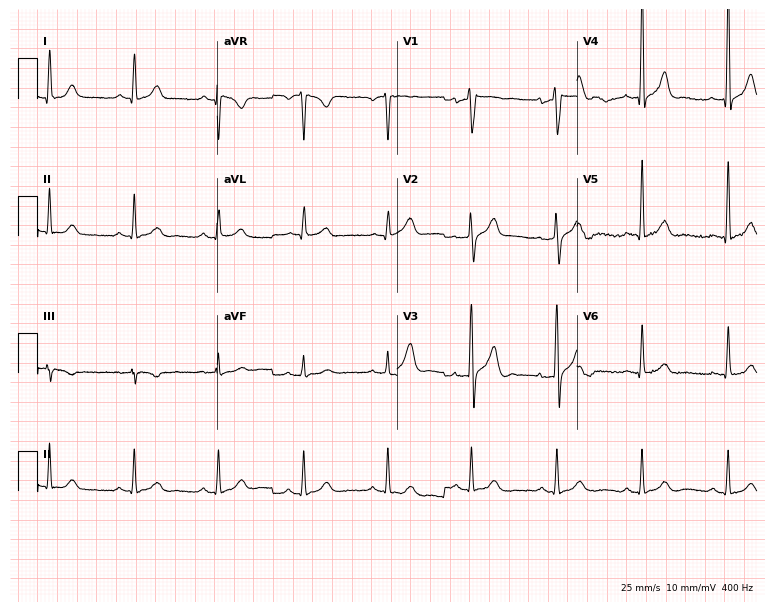
Standard 12-lead ECG recorded from a male patient, 46 years old. None of these six findings is recorded: first-degree AV block, right bundle branch block (RBBB), left bundle branch block (LBBB), sinus bradycardia, atrial fibrillation (AF), sinus tachycardia. Findings outside these six are not listed.